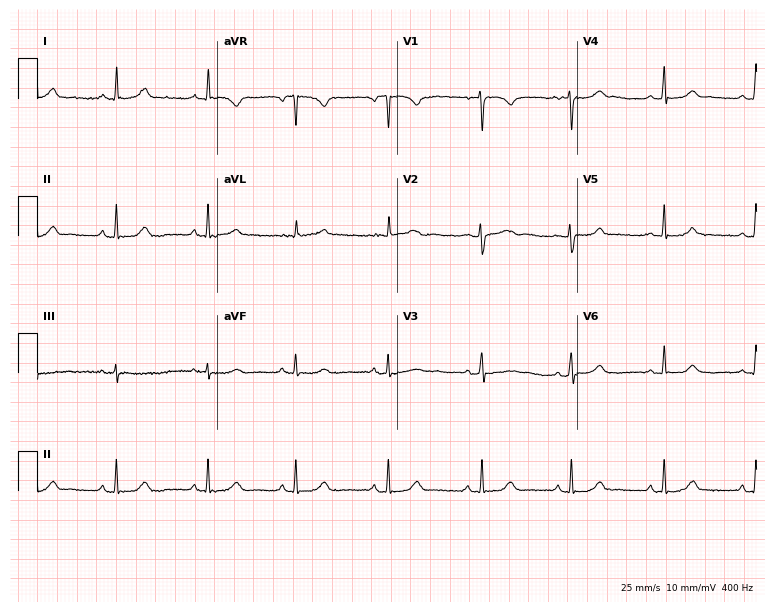
ECG — a female, 17 years old. Labelled as a normal ECG.